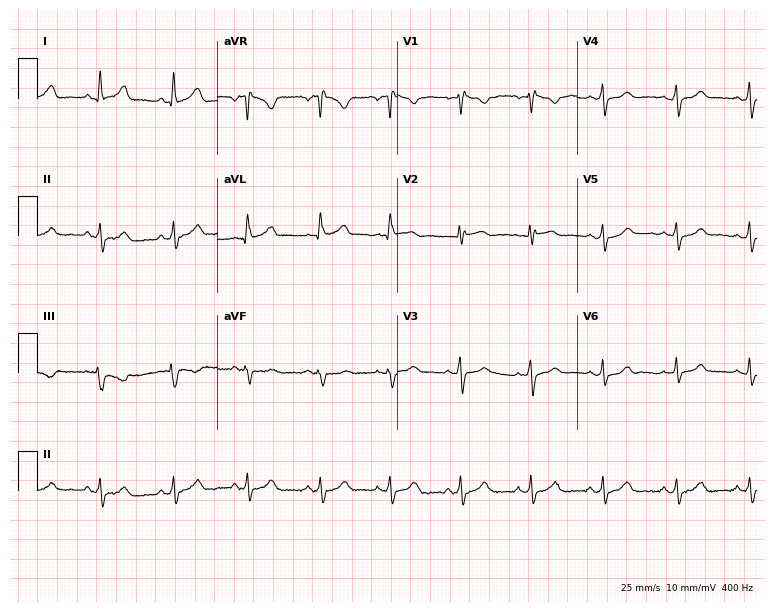
12-lead ECG (7.3-second recording at 400 Hz) from a female, 30 years old. Labelled as a normal ECG.